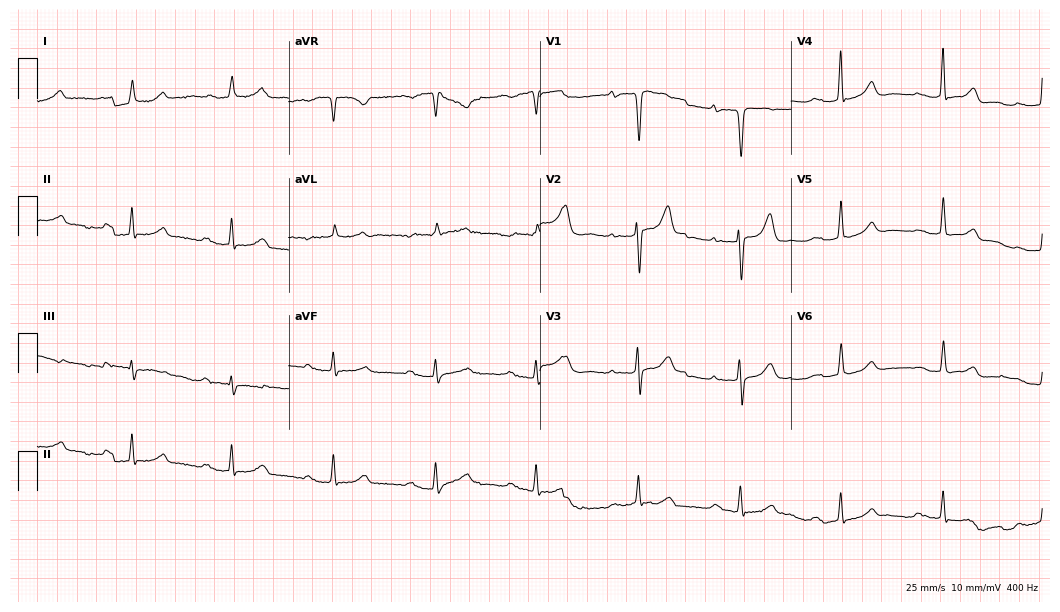
Electrocardiogram, a female patient, 86 years old. Of the six screened findings (first-degree AV block, right bundle branch block (RBBB), left bundle branch block (LBBB), sinus bradycardia, atrial fibrillation (AF), sinus tachycardia), none is recorded.